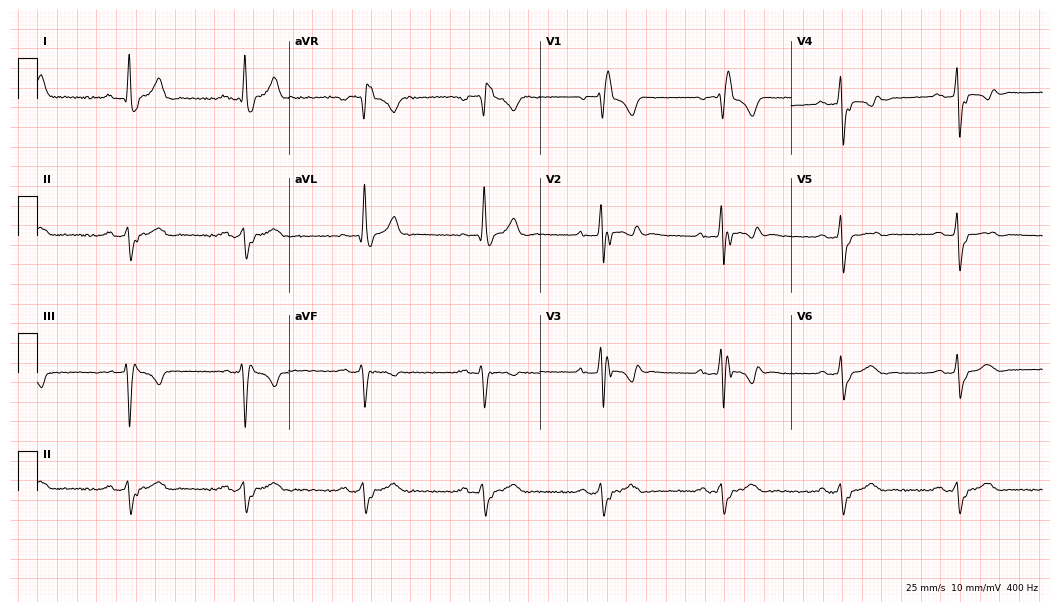
Standard 12-lead ECG recorded from a 55-year-old male patient (10.2-second recording at 400 Hz). None of these six findings is recorded: first-degree AV block, right bundle branch block (RBBB), left bundle branch block (LBBB), sinus bradycardia, atrial fibrillation (AF), sinus tachycardia.